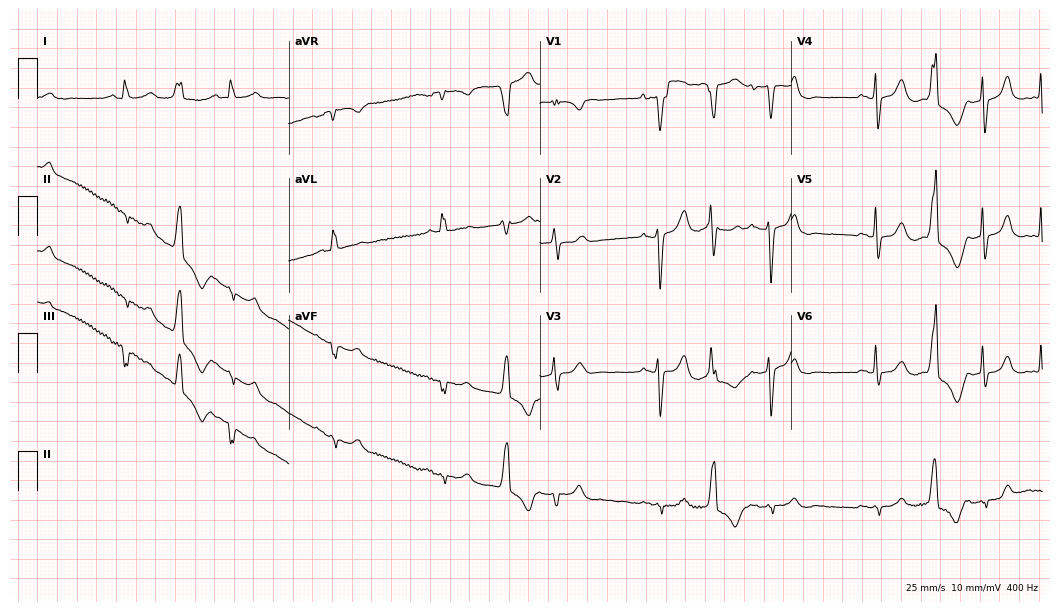
ECG — a male, 83 years old. Screened for six findings — first-degree AV block, right bundle branch block, left bundle branch block, sinus bradycardia, atrial fibrillation, sinus tachycardia — none is recorded. Only these six findings were labelled.